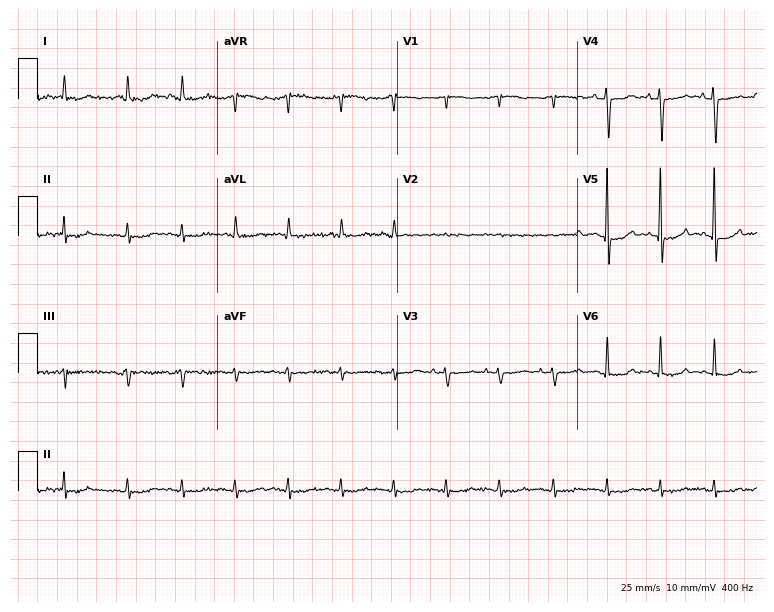
ECG (7.3-second recording at 400 Hz) — a woman, 81 years old. Findings include sinus tachycardia (a sinus rate of 100 beats per minute or more).